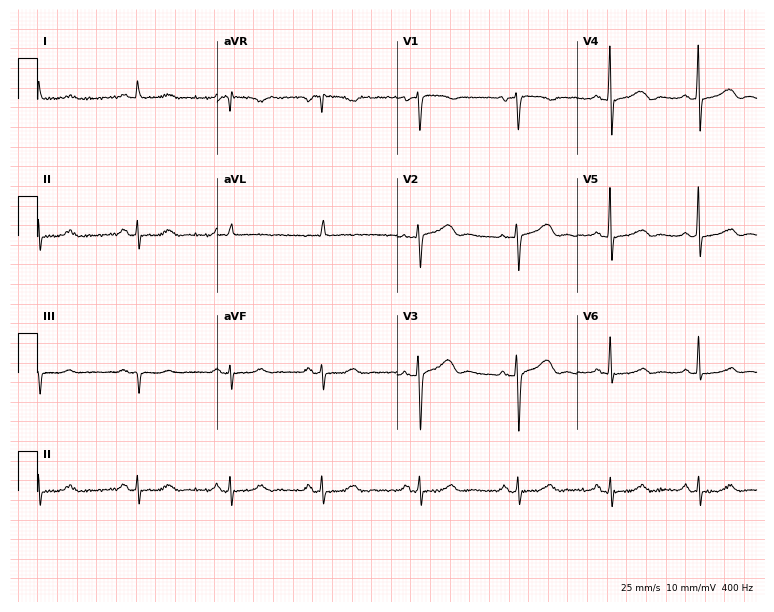
12-lead ECG from a 59-year-old female patient. Labelled as a normal ECG.